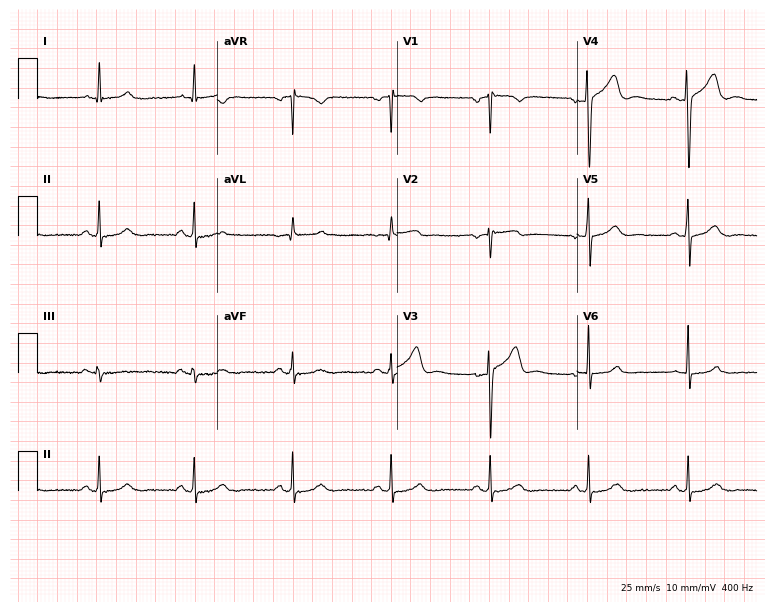
Resting 12-lead electrocardiogram (7.3-second recording at 400 Hz). Patient: a man, 38 years old. None of these six findings is recorded: first-degree AV block, right bundle branch block (RBBB), left bundle branch block (LBBB), sinus bradycardia, atrial fibrillation (AF), sinus tachycardia.